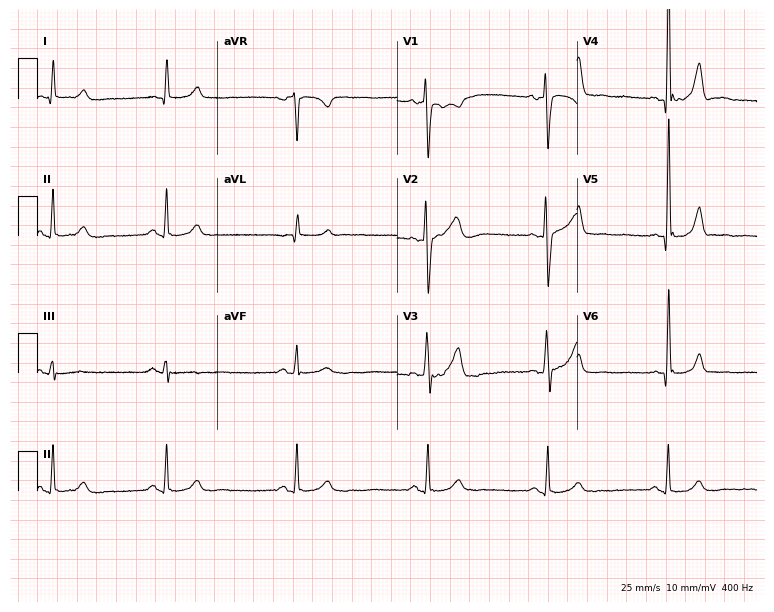
Resting 12-lead electrocardiogram. Patient: a man, 57 years old. None of these six findings is recorded: first-degree AV block, right bundle branch block, left bundle branch block, sinus bradycardia, atrial fibrillation, sinus tachycardia.